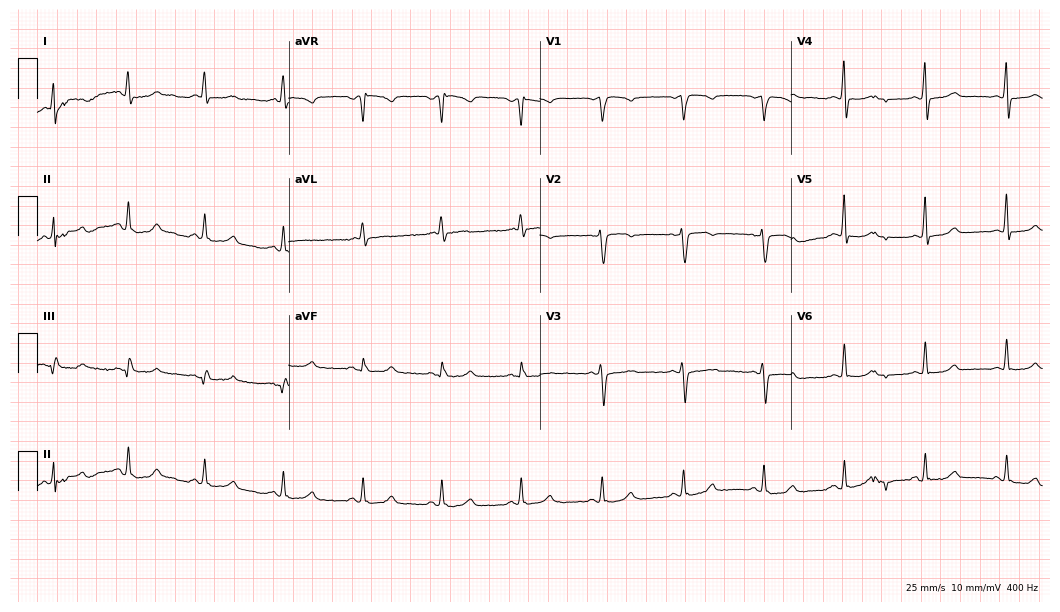
12-lead ECG (10.2-second recording at 400 Hz) from a 50-year-old female patient. Screened for six findings — first-degree AV block, right bundle branch block, left bundle branch block, sinus bradycardia, atrial fibrillation, sinus tachycardia — none is recorded. Only these six findings were labelled.